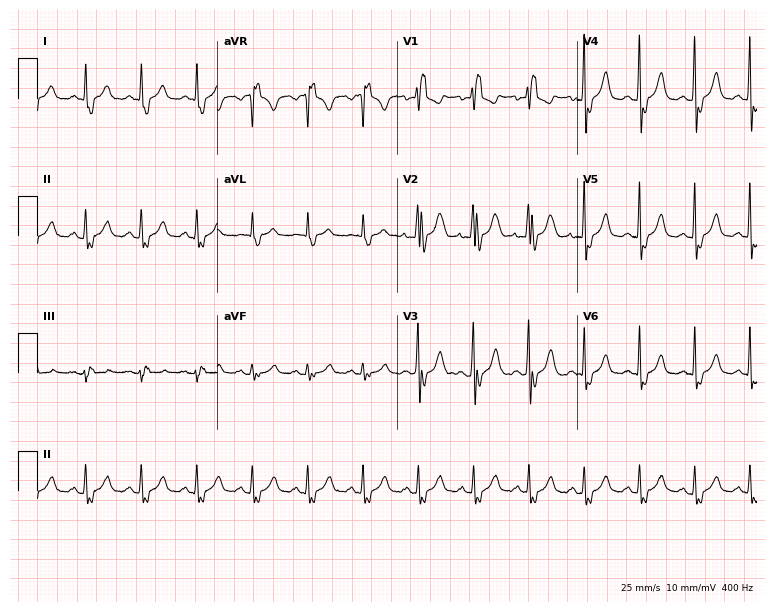
12-lead ECG (7.3-second recording at 400 Hz) from a female patient, 52 years old. Findings include right bundle branch block, sinus tachycardia (a sinus rate of 100 beats per minute or more).